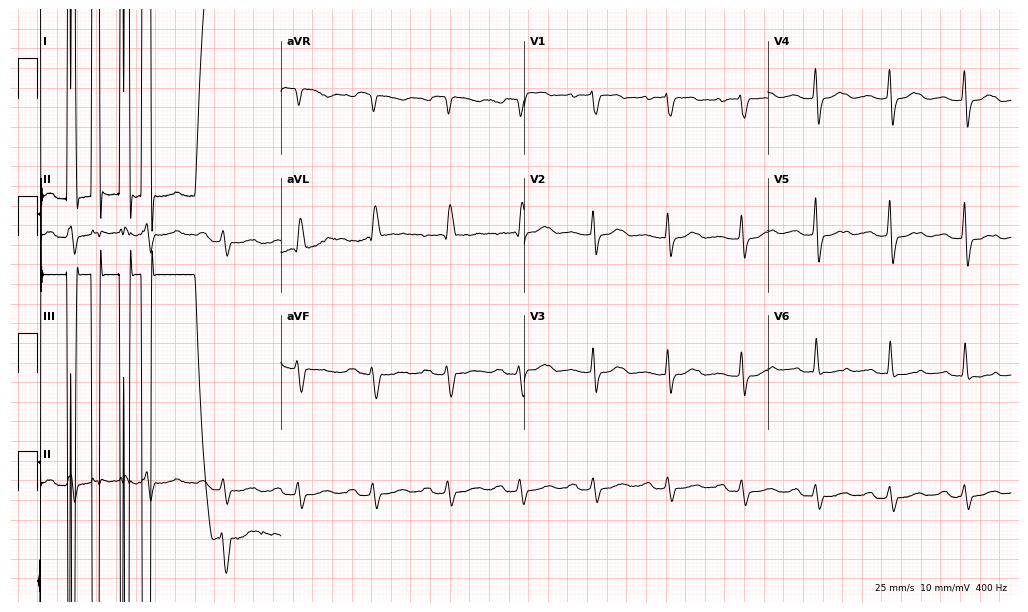
12-lead ECG from a 75-year-old woman. Screened for six findings — first-degree AV block, right bundle branch block, left bundle branch block, sinus bradycardia, atrial fibrillation, sinus tachycardia — none is recorded.